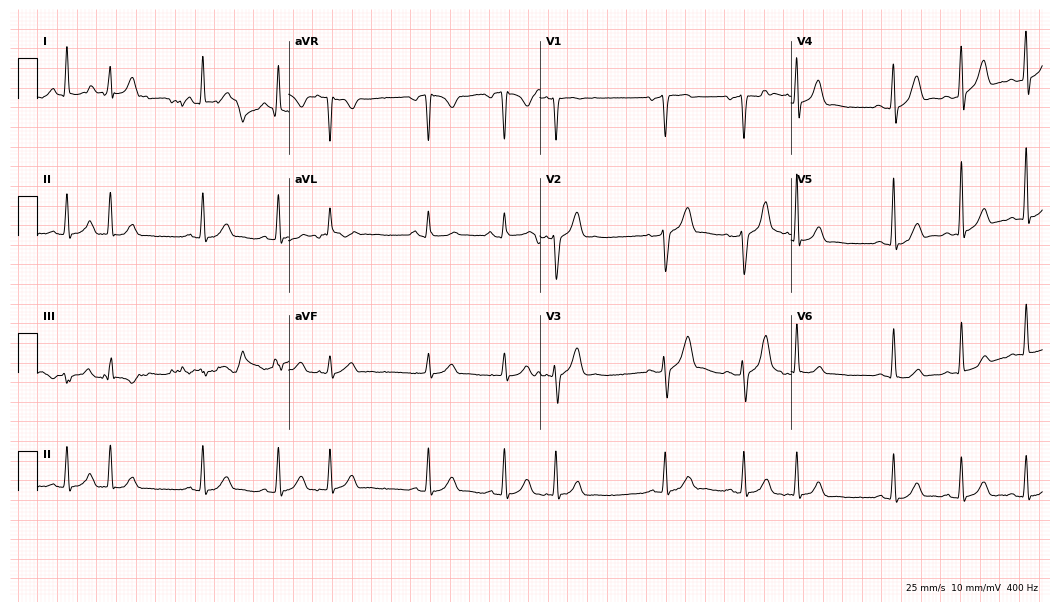
Electrocardiogram, a 45-year-old male. Of the six screened findings (first-degree AV block, right bundle branch block (RBBB), left bundle branch block (LBBB), sinus bradycardia, atrial fibrillation (AF), sinus tachycardia), none is recorded. Findings outside these six are not listed.